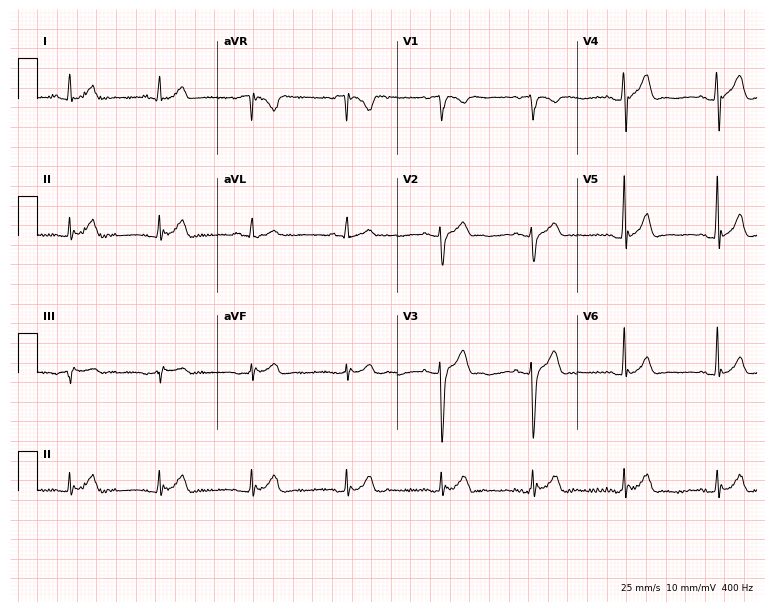
Electrocardiogram (7.3-second recording at 400 Hz), a 24-year-old male. Overall reading on record: normal ECG.